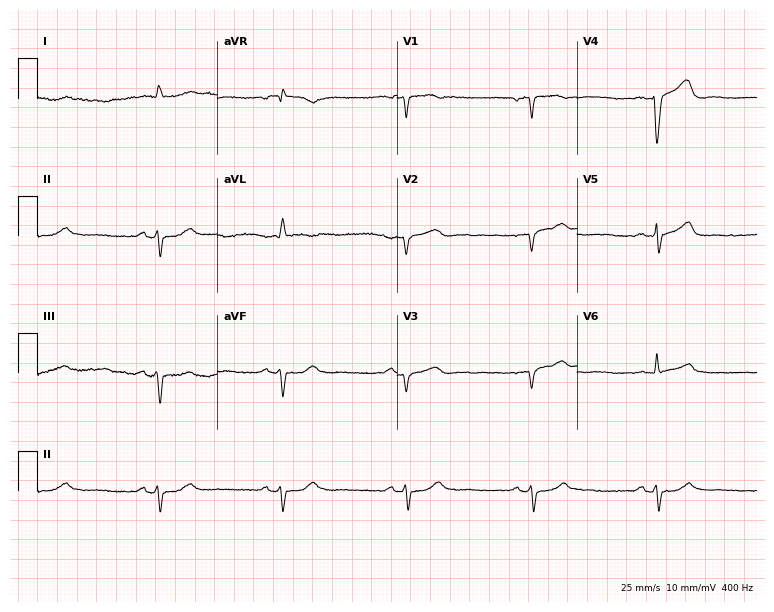
Resting 12-lead electrocardiogram (7.3-second recording at 400 Hz). Patient: a man, 68 years old. The tracing shows sinus bradycardia (a sinus rate of 50 beats per minute or less).